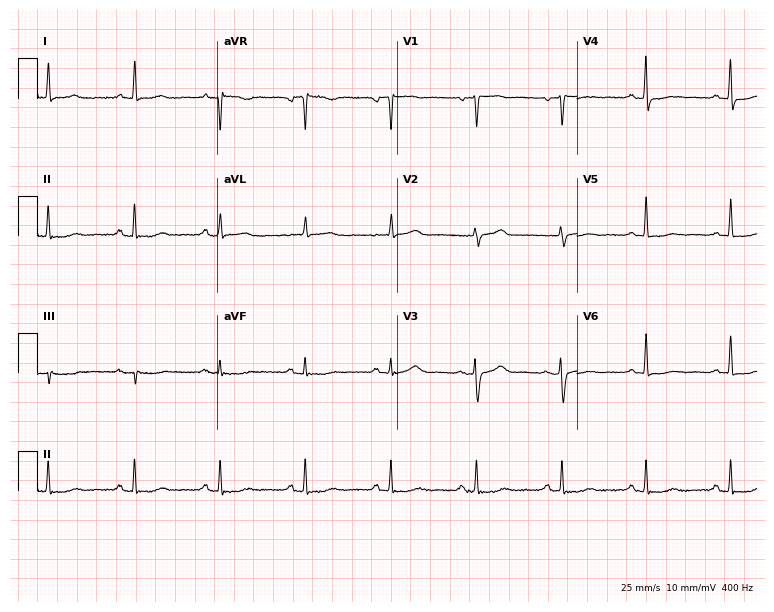
Electrocardiogram, a female, 66 years old. Of the six screened findings (first-degree AV block, right bundle branch block (RBBB), left bundle branch block (LBBB), sinus bradycardia, atrial fibrillation (AF), sinus tachycardia), none is recorded. Only these six findings were labelled.